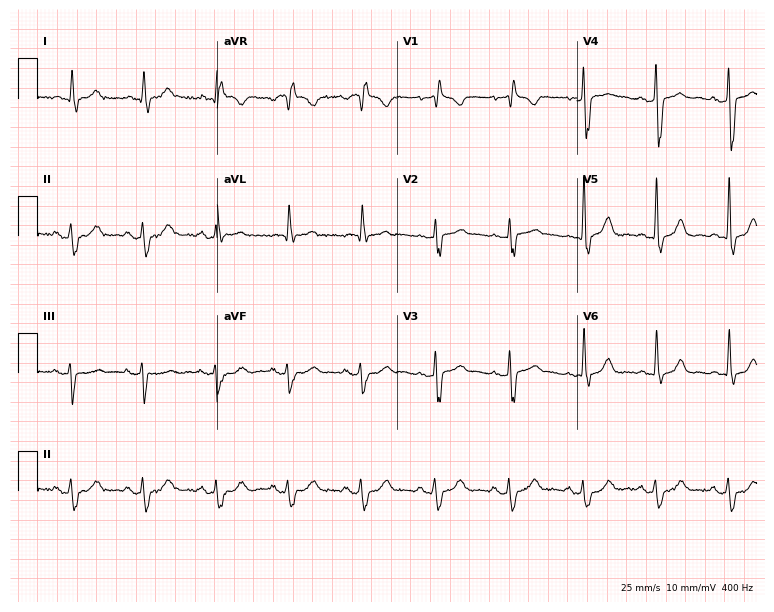
ECG (7.3-second recording at 400 Hz) — a 57-year-old woman. Findings include right bundle branch block (RBBB).